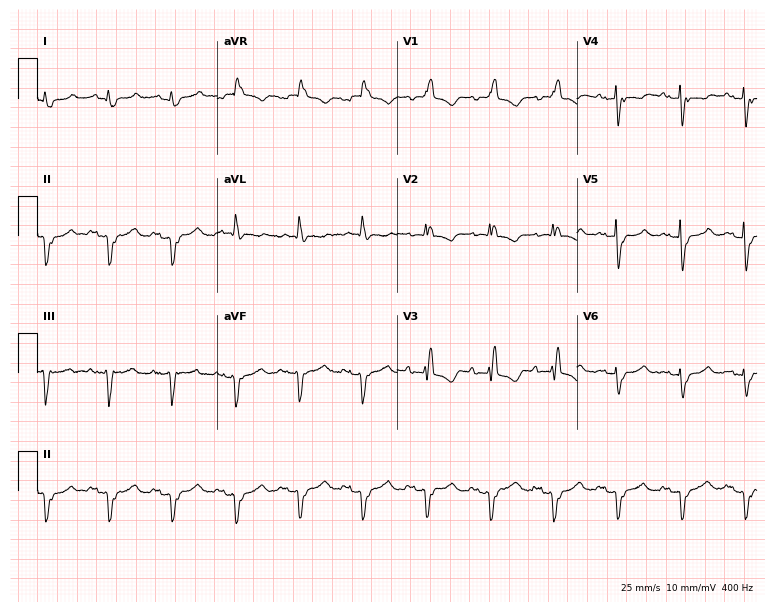
Standard 12-lead ECG recorded from a woman, 83 years old (7.3-second recording at 400 Hz). None of these six findings is recorded: first-degree AV block, right bundle branch block, left bundle branch block, sinus bradycardia, atrial fibrillation, sinus tachycardia.